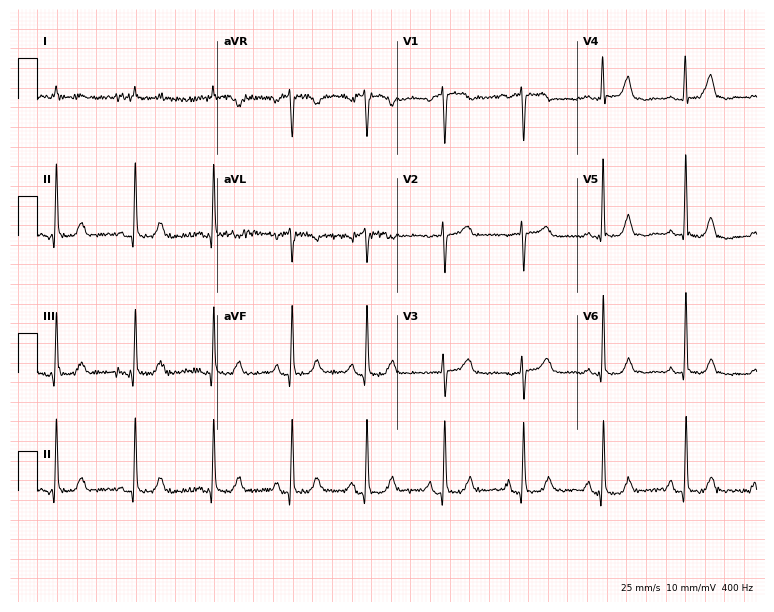
Standard 12-lead ECG recorded from a man, 77 years old. None of these six findings is recorded: first-degree AV block, right bundle branch block, left bundle branch block, sinus bradycardia, atrial fibrillation, sinus tachycardia.